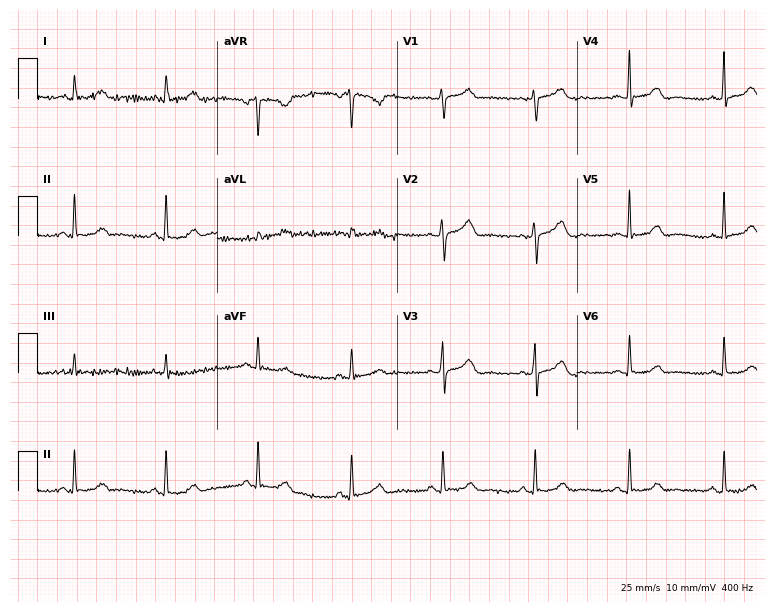
Resting 12-lead electrocardiogram. Patient: a 39-year-old woman. Read as a normal ECG.